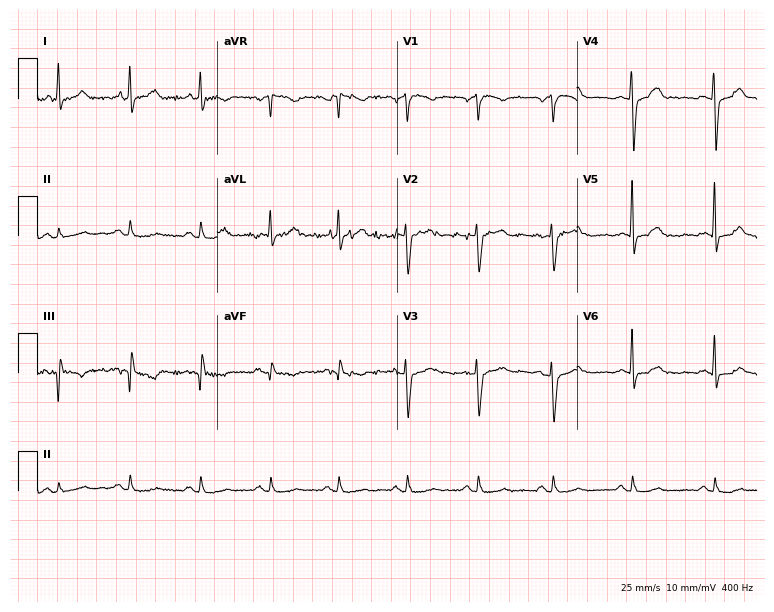
12-lead ECG (7.3-second recording at 400 Hz) from a 64-year-old male patient. Labelled as a normal ECG.